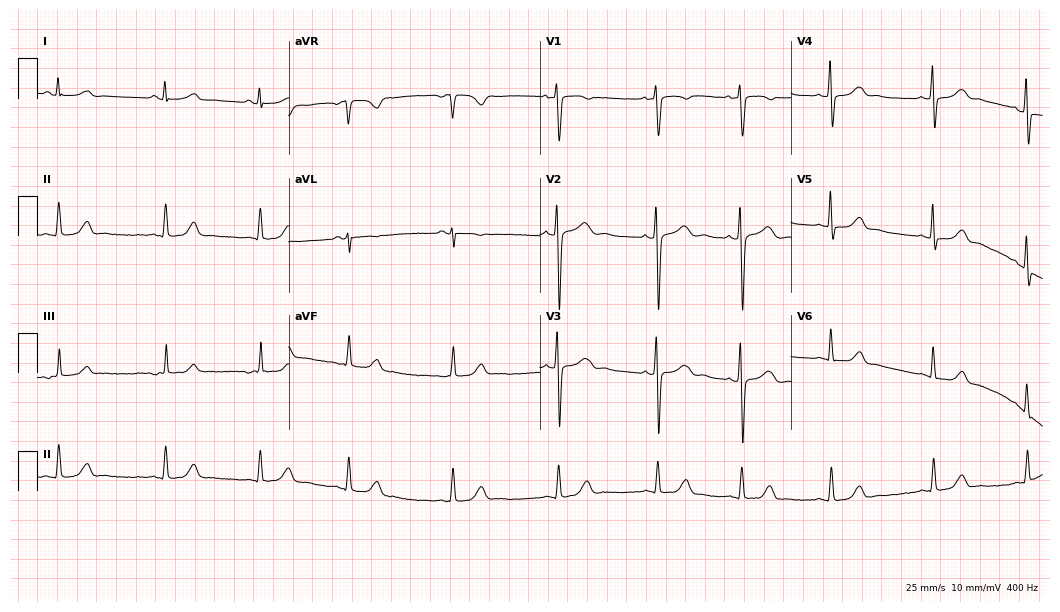
Standard 12-lead ECG recorded from a 25-year-old woman (10.2-second recording at 400 Hz). Read as a normal ECG.